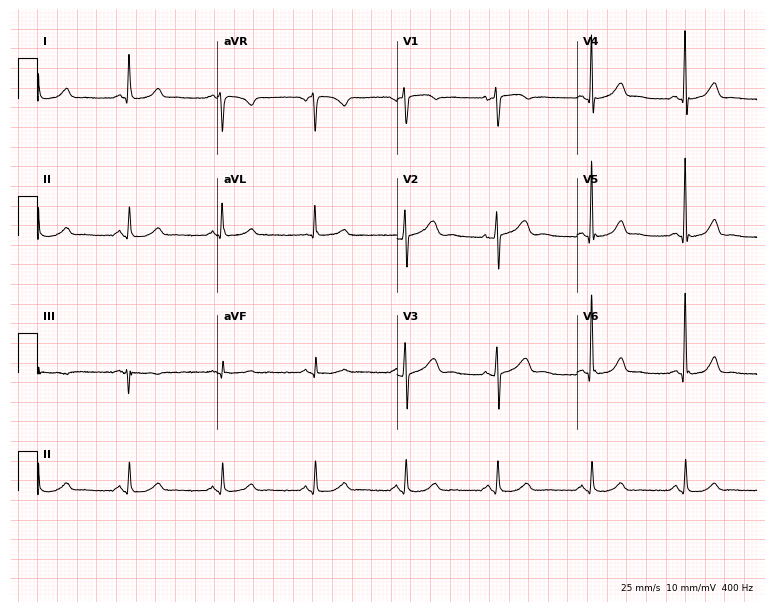
Standard 12-lead ECG recorded from a 62-year-old woman. Read as a normal ECG.